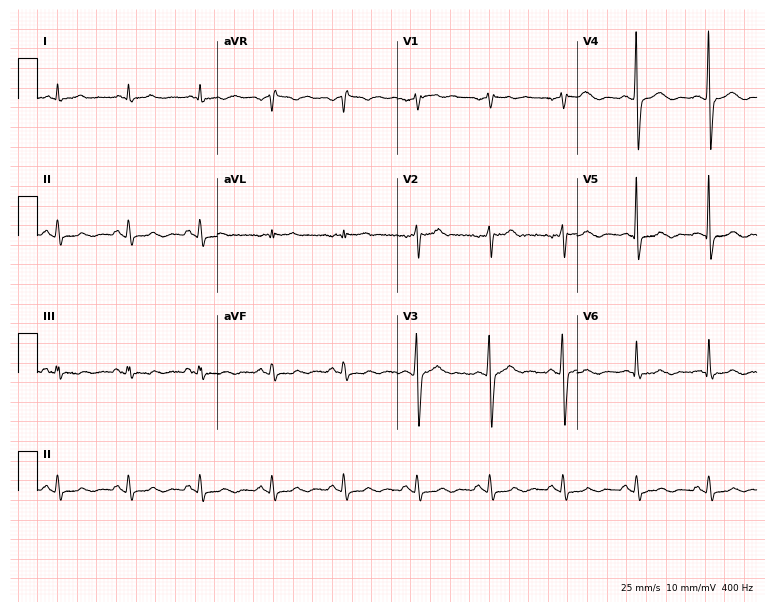
Resting 12-lead electrocardiogram (7.3-second recording at 400 Hz). Patient: a 34-year-old man. None of these six findings is recorded: first-degree AV block, right bundle branch block, left bundle branch block, sinus bradycardia, atrial fibrillation, sinus tachycardia.